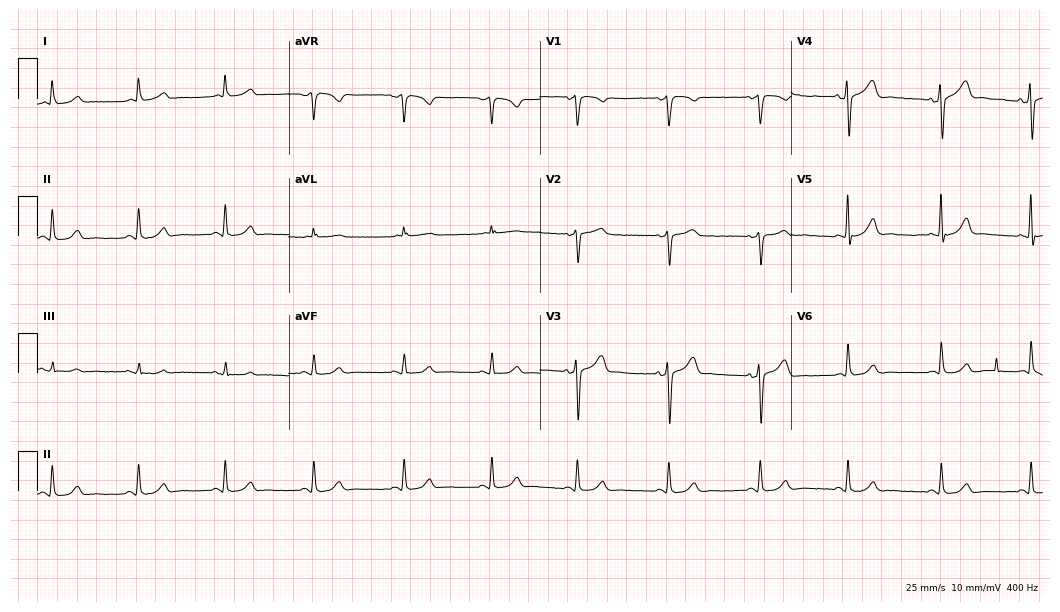
Standard 12-lead ECG recorded from a 61-year-old male patient. Read as a normal ECG.